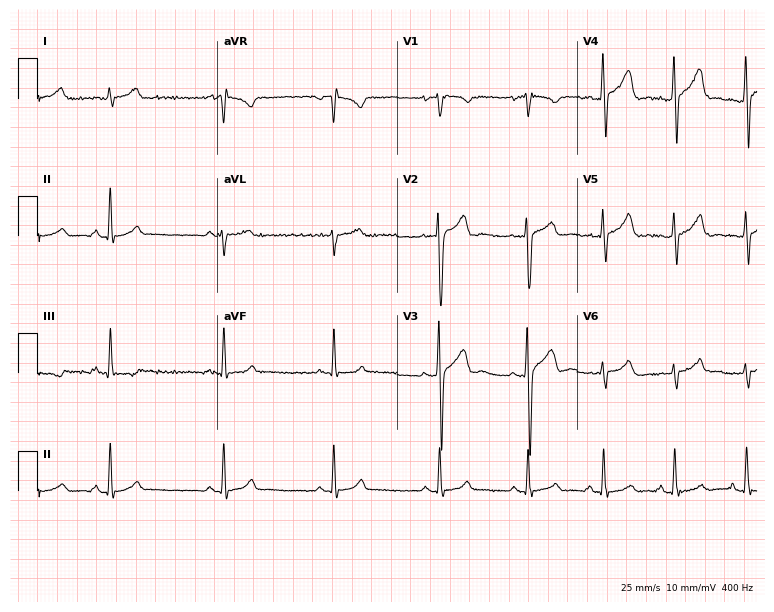
Electrocardiogram (7.3-second recording at 400 Hz), a 17-year-old male. Overall reading on record: normal ECG.